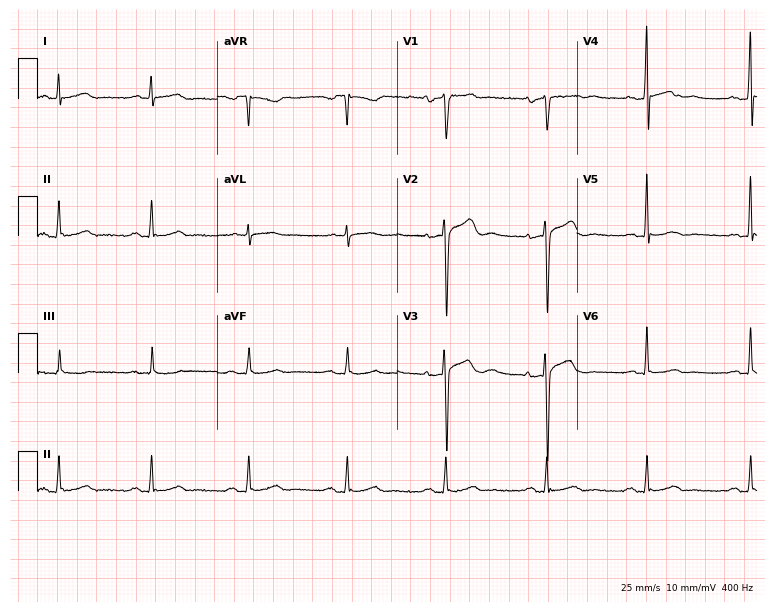
Standard 12-lead ECG recorded from a male, 50 years old (7.3-second recording at 400 Hz). None of these six findings is recorded: first-degree AV block, right bundle branch block (RBBB), left bundle branch block (LBBB), sinus bradycardia, atrial fibrillation (AF), sinus tachycardia.